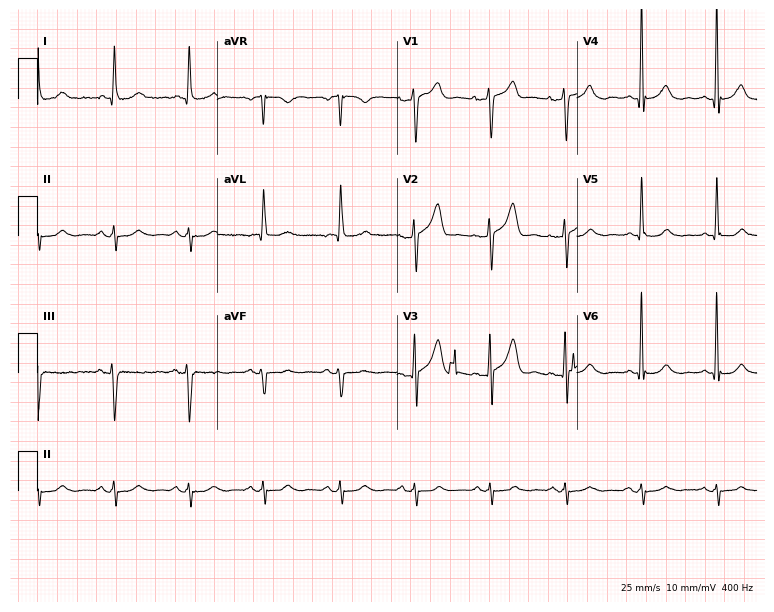
12-lead ECG (7.3-second recording at 400 Hz) from a 78-year-old man. Screened for six findings — first-degree AV block, right bundle branch block, left bundle branch block, sinus bradycardia, atrial fibrillation, sinus tachycardia — none is recorded.